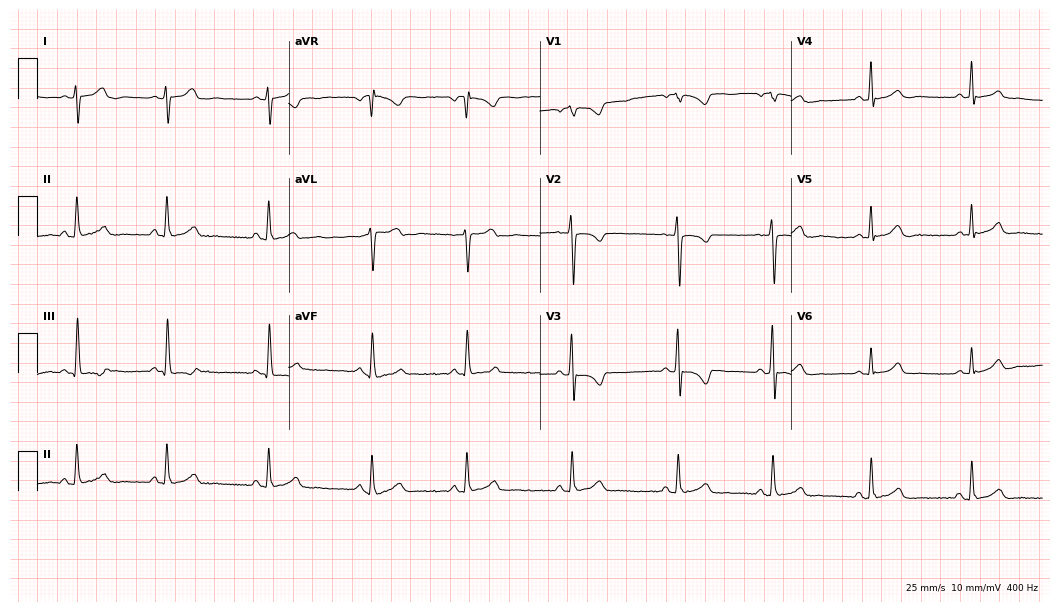
ECG — a 23-year-old female patient. Screened for six findings — first-degree AV block, right bundle branch block (RBBB), left bundle branch block (LBBB), sinus bradycardia, atrial fibrillation (AF), sinus tachycardia — none is recorded. Other findings, if any, are not listed.